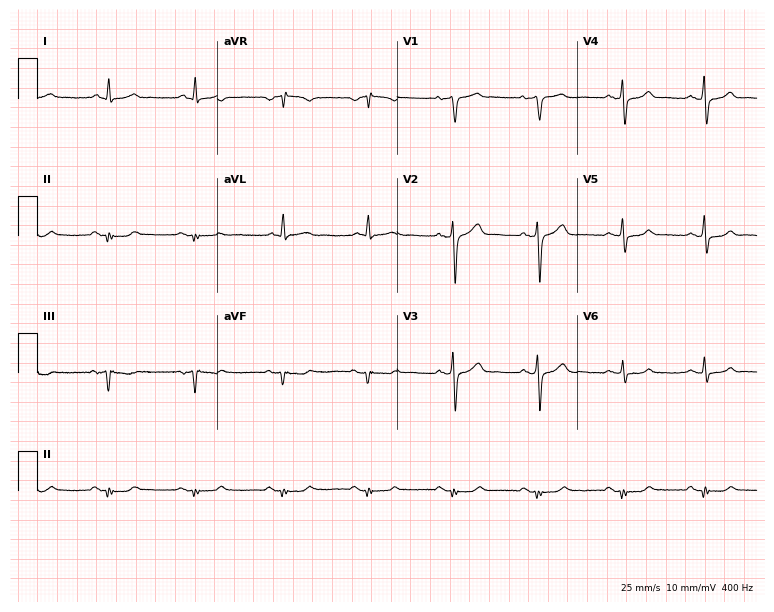
Standard 12-lead ECG recorded from a 63-year-old man (7.3-second recording at 400 Hz). None of these six findings is recorded: first-degree AV block, right bundle branch block (RBBB), left bundle branch block (LBBB), sinus bradycardia, atrial fibrillation (AF), sinus tachycardia. Findings outside these six are not listed.